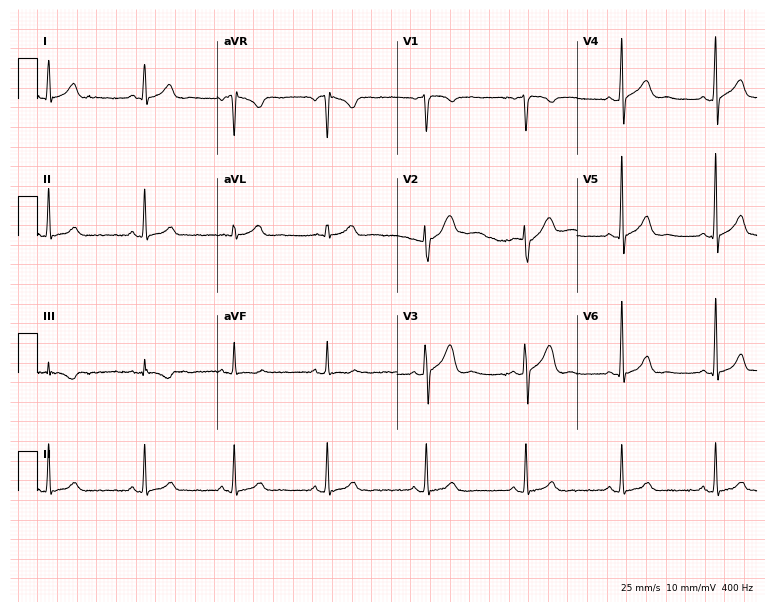
Resting 12-lead electrocardiogram (7.3-second recording at 400 Hz). Patient: a female, 29 years old. None of these six findings is recorded: first-degree AV block, right bundle branch block, left bundle branch block, sinus bradycardia, atrial fibrillation, sinus tachycardia. Findings outside these six are not listed.